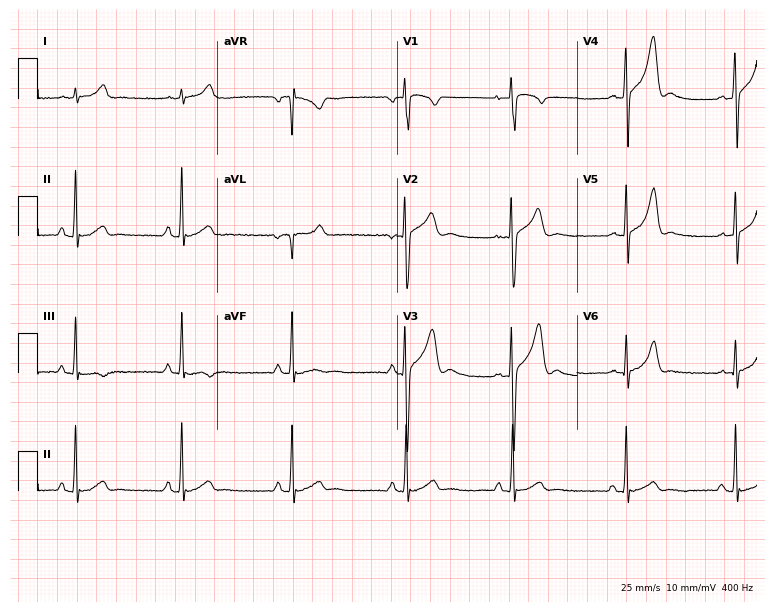
12-lead ECG (7.3-second recording at 400 Hz) from a 22-year-old man. Screened for six findings — first-degree AV block, right bundle branch block, left bundle branch block, sinus bradycardia, atrial fibrillation, sinus tachycardia — none is recorded.